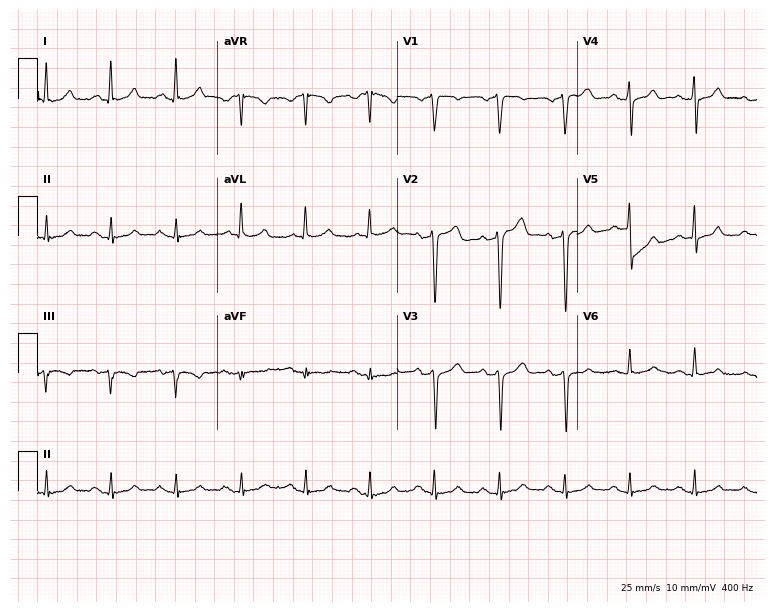
Resting 12-lead electrocardiogram (7.3-second recording at 400 Hz). Patient: a male, 70 years old. Read as a normal ECG.